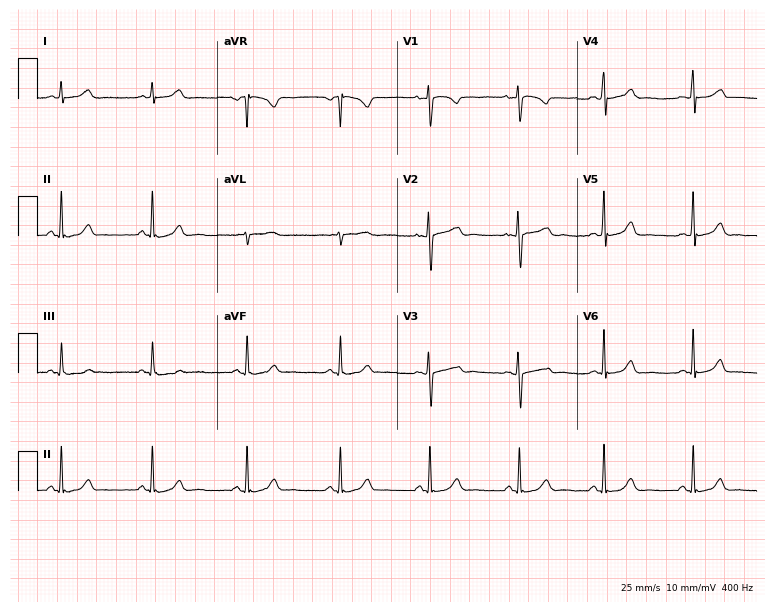
ECG — a female, 21 years old. Screened for six findings — first-degree AV block, right bundle branch block (RBBB), left bundle branch block (LBBB), sinus bradycardia, atrial fibrillation (AF), sinus tachycardia — none is recorded.